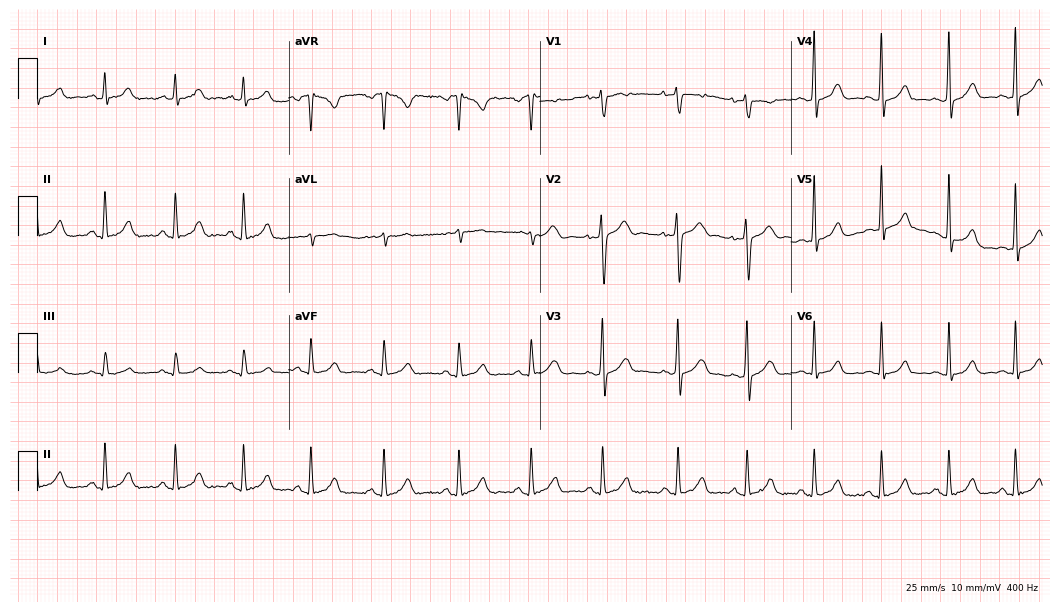
Resting 12-lead electrocardiogram (10.2-second recording at 400 Hz). Patient: a woman, 19 years old. Read as a normal ECG.